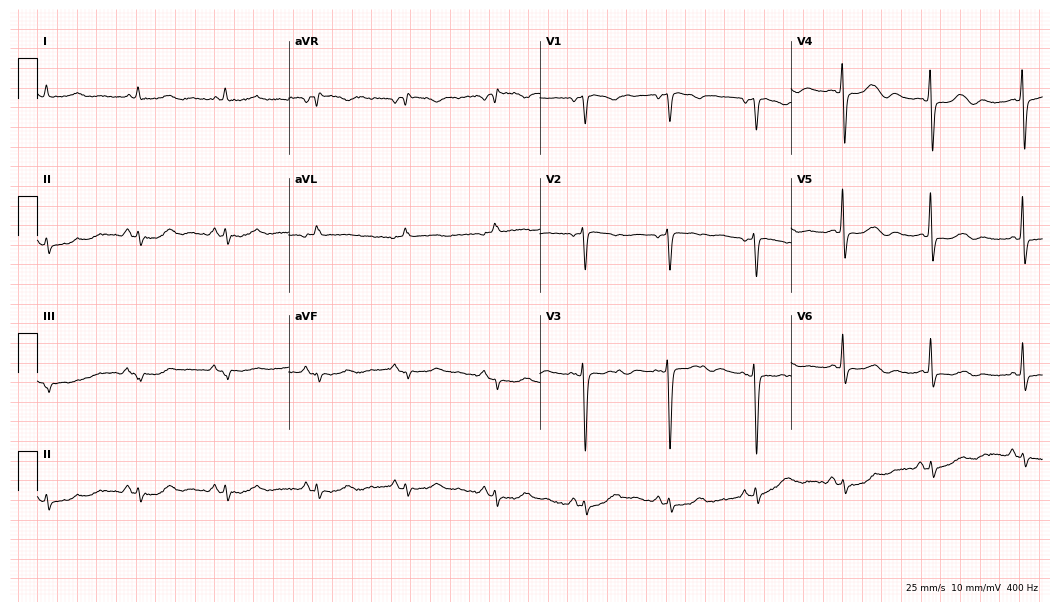
Resting 12-lead electrocardiogram. Patient: a 73-year-old woman. None of these six findings is recorded: first-degree AV block, right bundle branch block, left bundle branch block, sinus bradycardia, atrial fibrillation, sinus tachycardia. Findings outside these six are not listed.